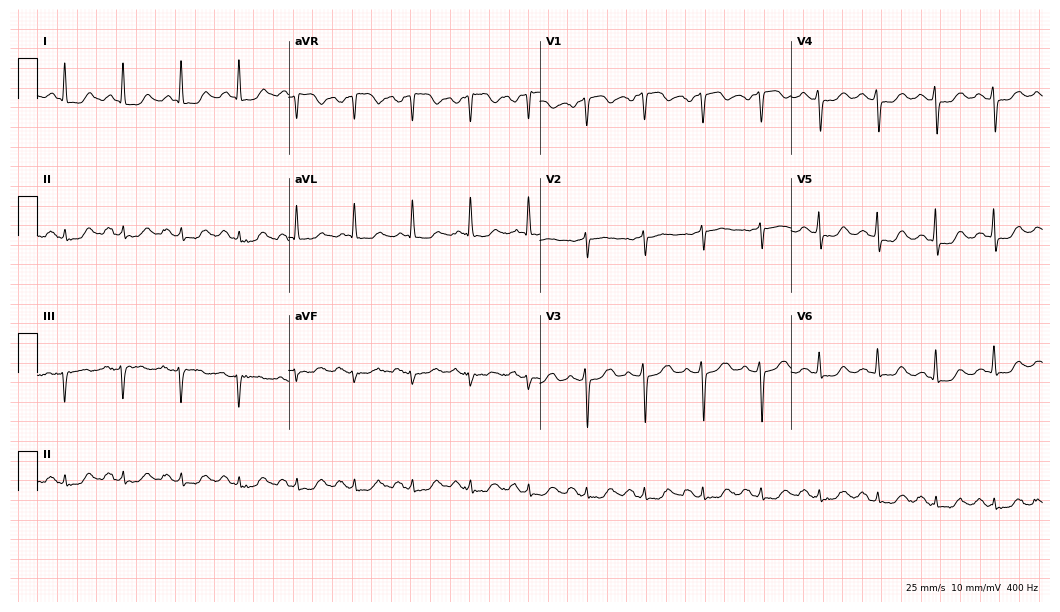
12-lead ECG from a woman, 84 years old (10.2-second recording at 400 Hz). No first-degree AV block, right bundle branch block, left bundle branch block, sinus bradycardia, atrial fibrillation or sinus tachycardia recorded for this tracing.